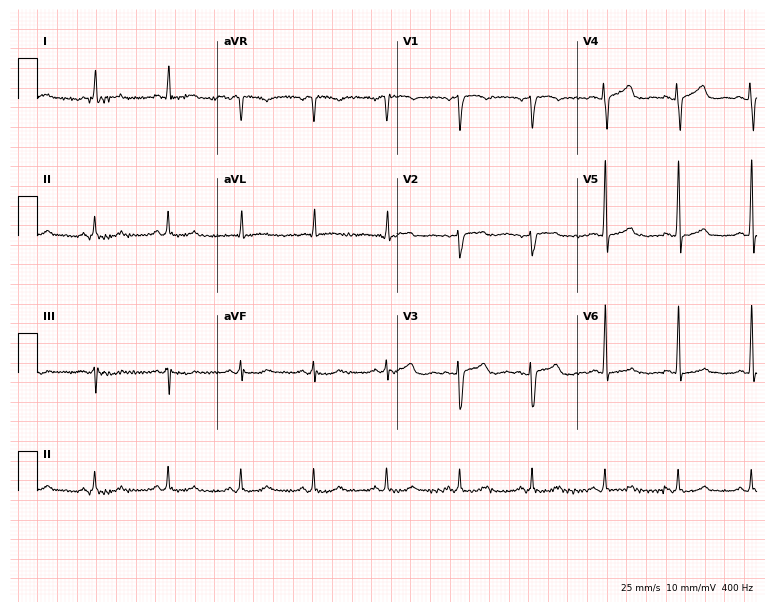
Standard 12-lead ECG recorded from a 54-year-old female patient. None of these six findings is recorded: first-degree AV block, right bundle branch block (RBBB), left bundle branch block (LBBB), sinus bradycardia, atrial fibrillation (AF), sinus tachycardia. Only these six findings were labelled.